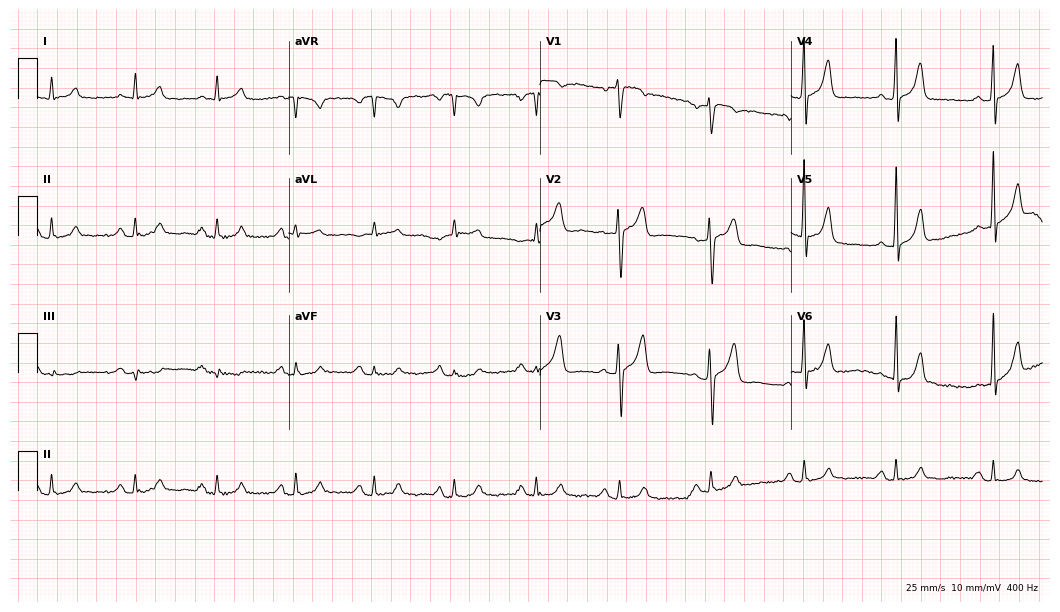
12-lead ECG from a 70-year-old male patient. Labelled as a normal ECG.